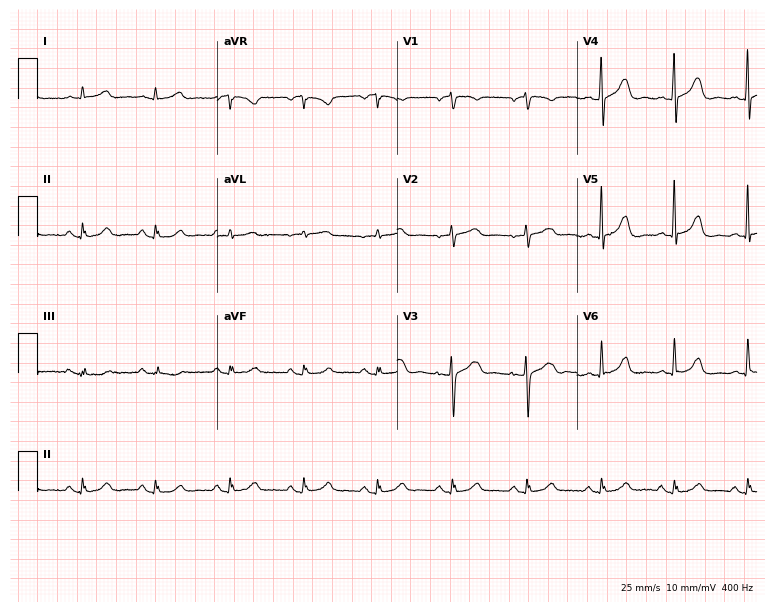
12-lead ECG (7.3-second recording at 400 Hz) from a woman, 71 years old. Screened for six findings — first-degree AV block, right bundle branch block, left bundle branch block, sinus bradycardia, atrial fibrillation, sinus tachycardia — none is recorded.